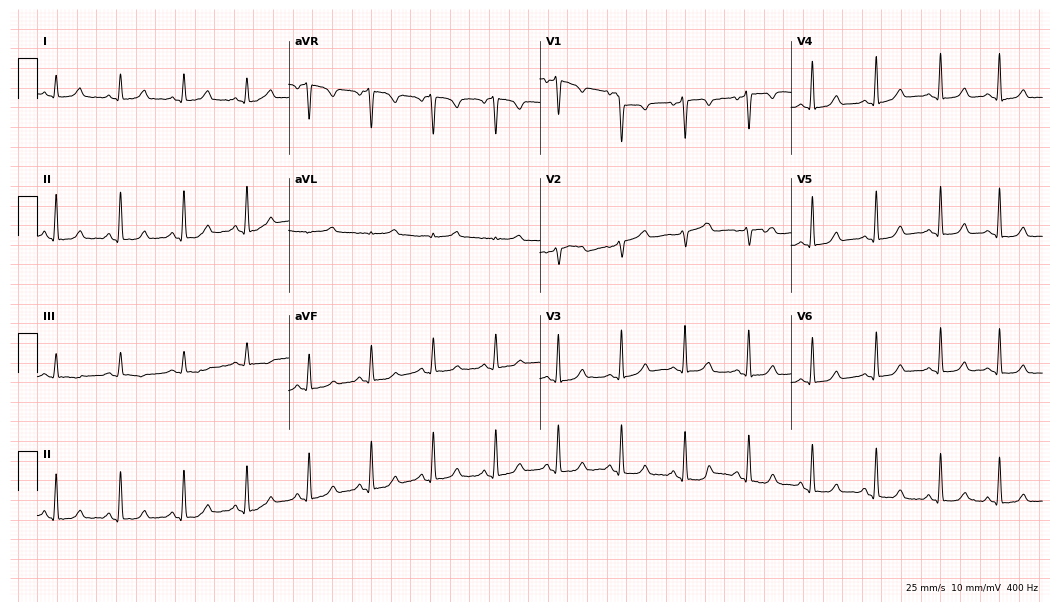
ECG (10.2-second recording at 400 Hz) — a 46-year-old woman. Labelled as a normal ECG.